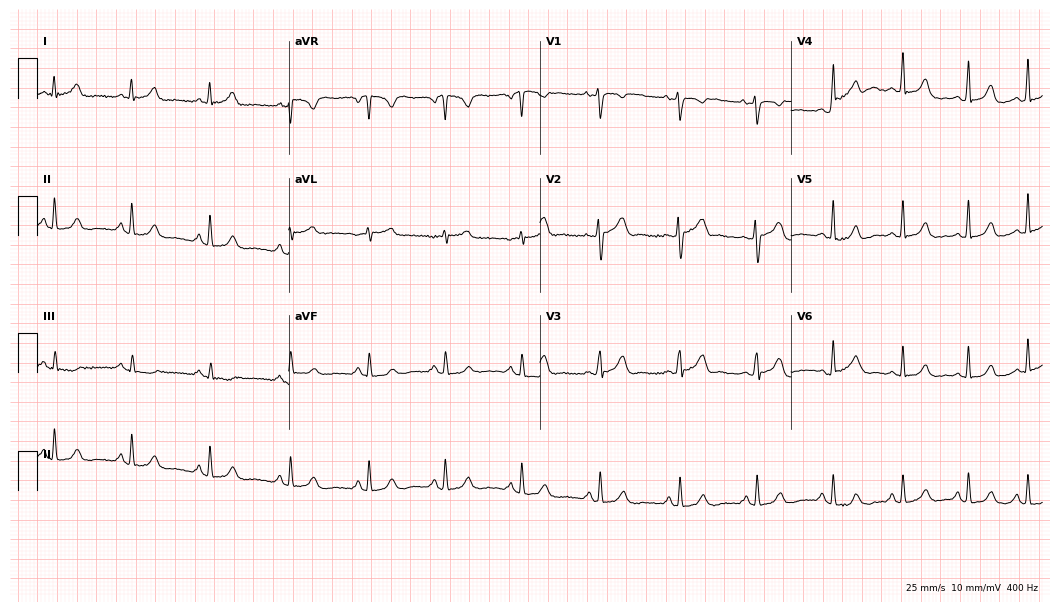
Resting 12-lead electrocardiogram. Patient: a female, 32 years old. Read as a normal ECG.